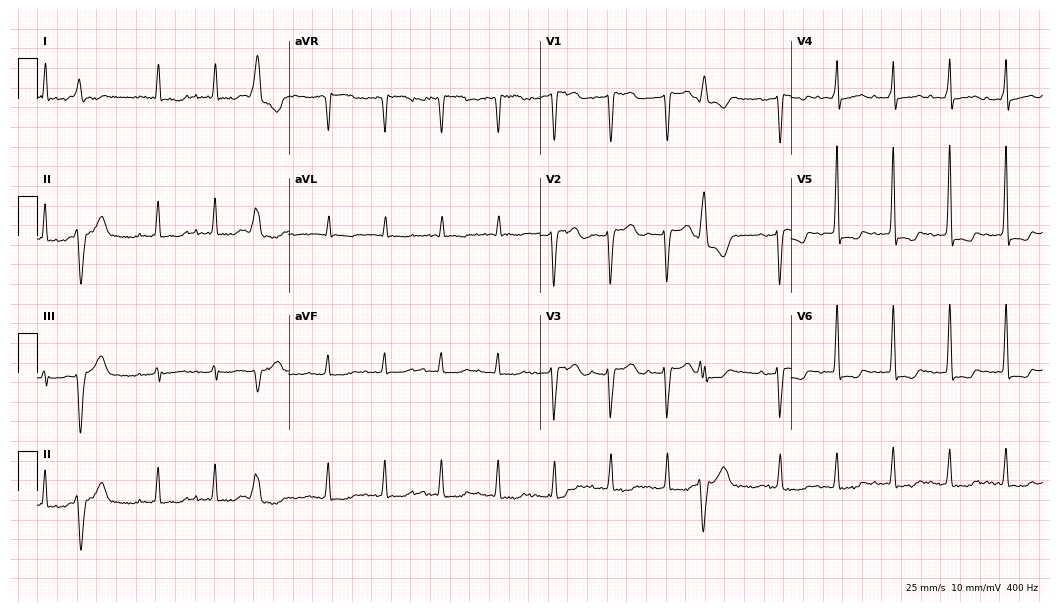
12-lead ECG from a woman, 85 years old (10.2-second recording at 400 Hz). Shows sinus tachycardia (a sinus rate of 100 beats per minute or more).